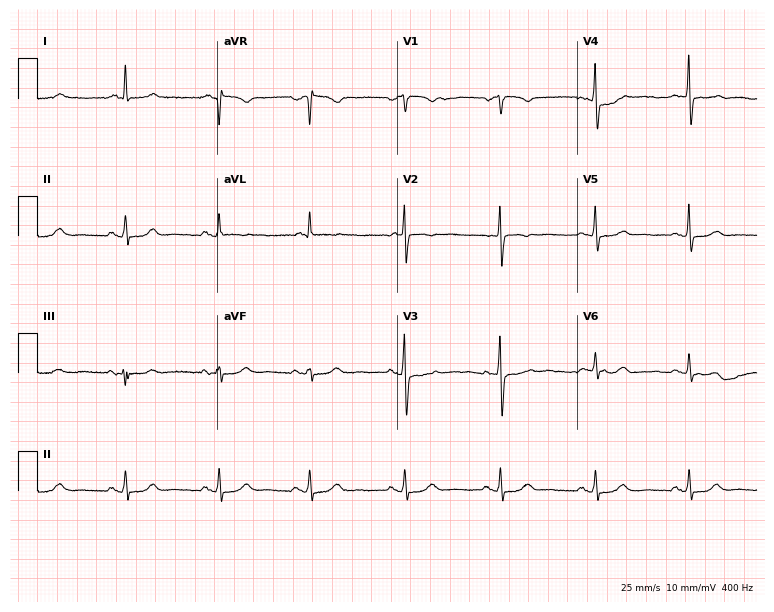
ECG — a female, 71 years old. Screened for six findings — first-degree AV block, right bundle branch block, left bundle branch block, sinus bradycardia, atrial fibrillation, sinus tachycardia — none is recorded.